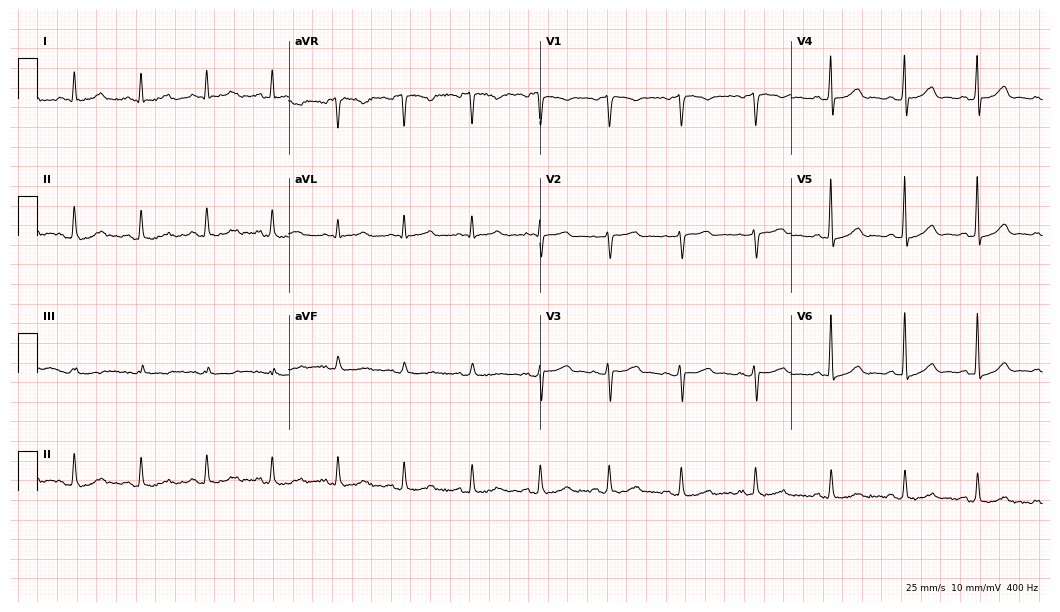
Electrocardiogram, a female, 46 years old. Overall reading on record: normal ECG.